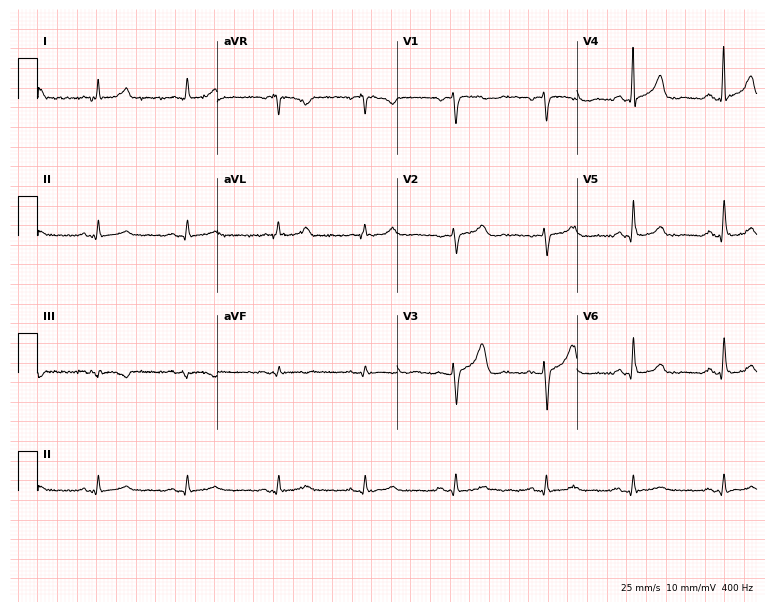
Resting 12-lead electrocardiogram (7.3-second recording at 400 Hz). Patient: a 71-year-old female. None of these six findings is recorded: first-degree AV block, right bundle branch block (RBBB), left bundle branch block (LBBB), sinus bradycardia, atrial fibrillation (AF), sinus tachycardia.